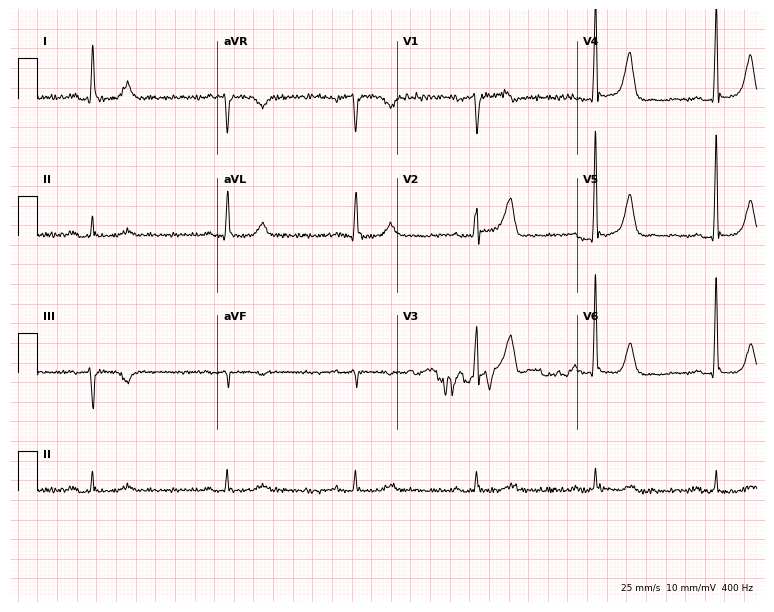
Resting 12-lead electrocardiogram. Patient: a male, 88 years old. The tracing shows sinus bradycardia (a sinus rate of 50 beats per minute or less).